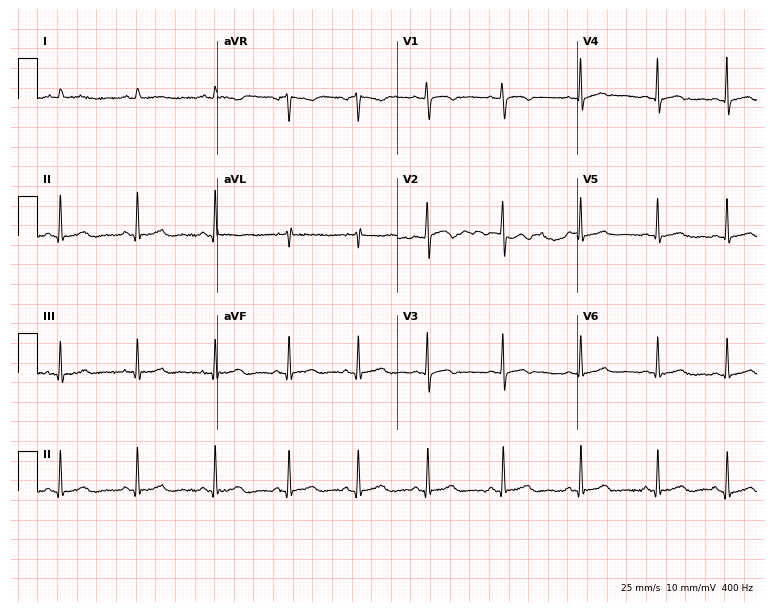
Standard 12-lead ECG recorded from a 19-year-old female. Read as a normal ECG.